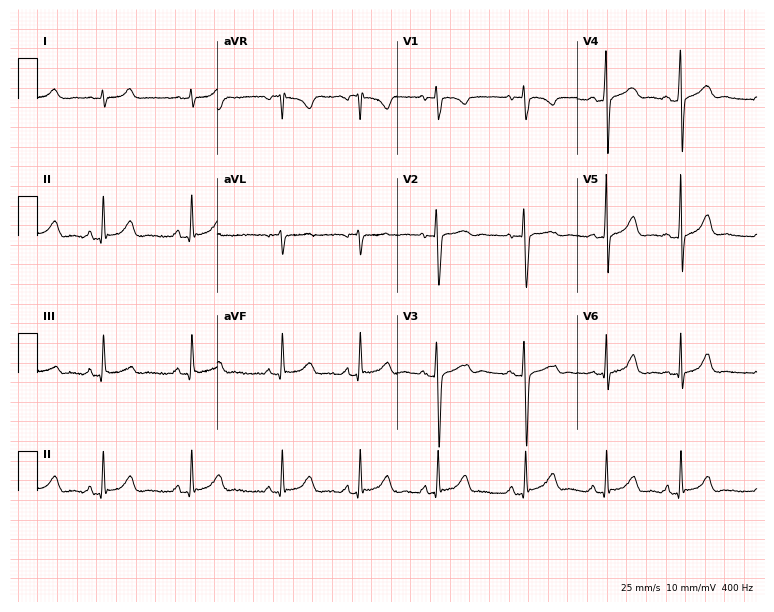
Electrocardiogram (7.3-second recording at 400 Hz), a female patient, 22 years old. Overall reading on record: normal ECG.